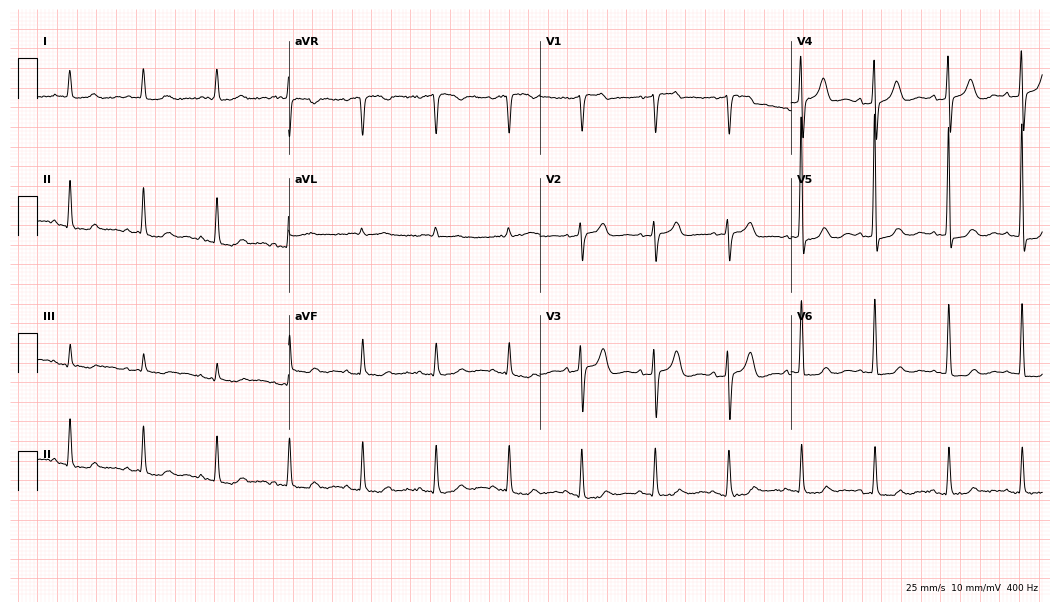
12-lead ECG (10.2-second recording at 400 Hz) from an 80-year-old female. Labelled as a normal ECG.